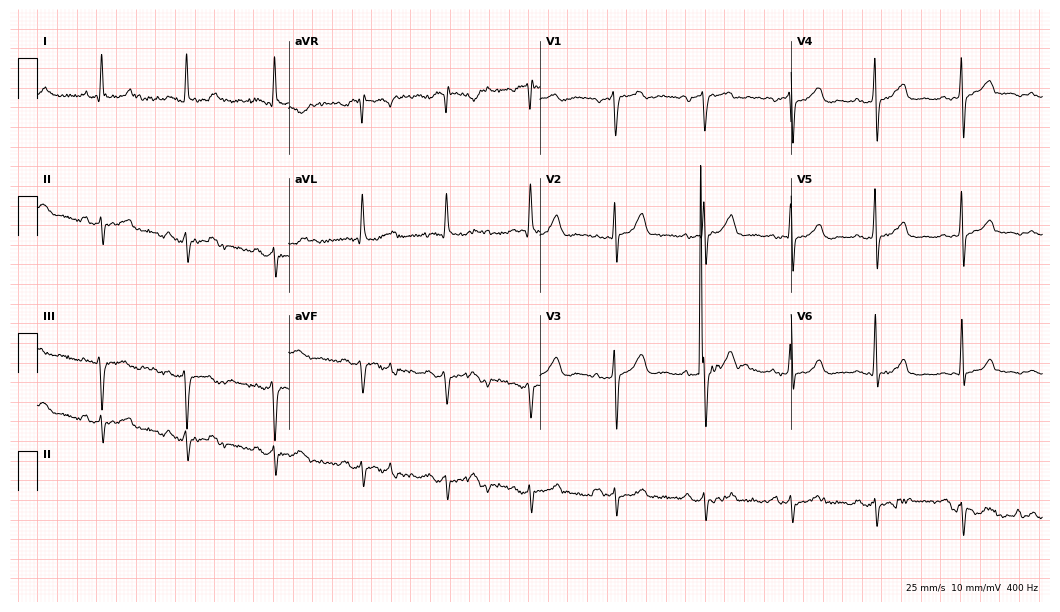
ECG (10.2-second recording at 400 Hz) — a man, 56 years old. Screened for six findings — first-degree AV block, right bundle branch block, left bundle branch block, sinus bradycardia, atrial fibrillation, sinus tachycardia — none is recorded.